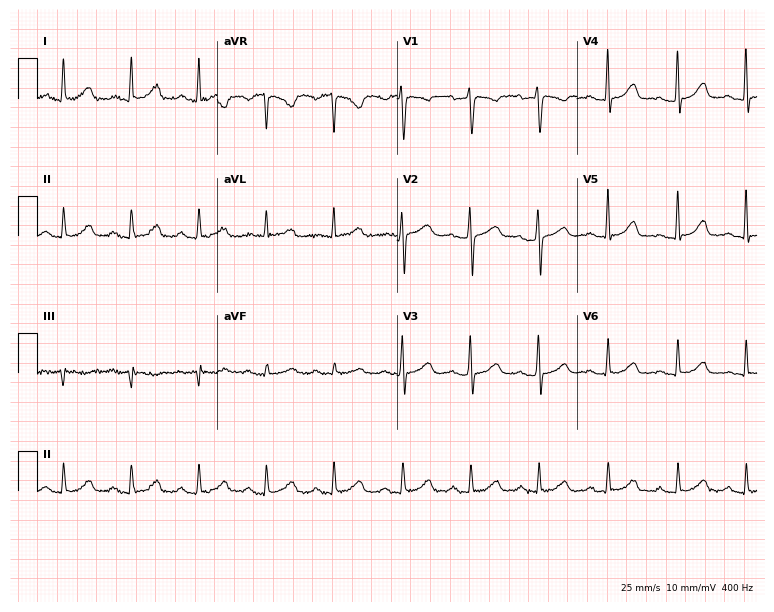
Electrocardiogram, a female, 53 years old. Of the six screened findings (first-degree AV block, right bundle branch block, left bundle branch block, sinus bradycardia, atrial fibrillation, sinus tachycardia), none is recorded.